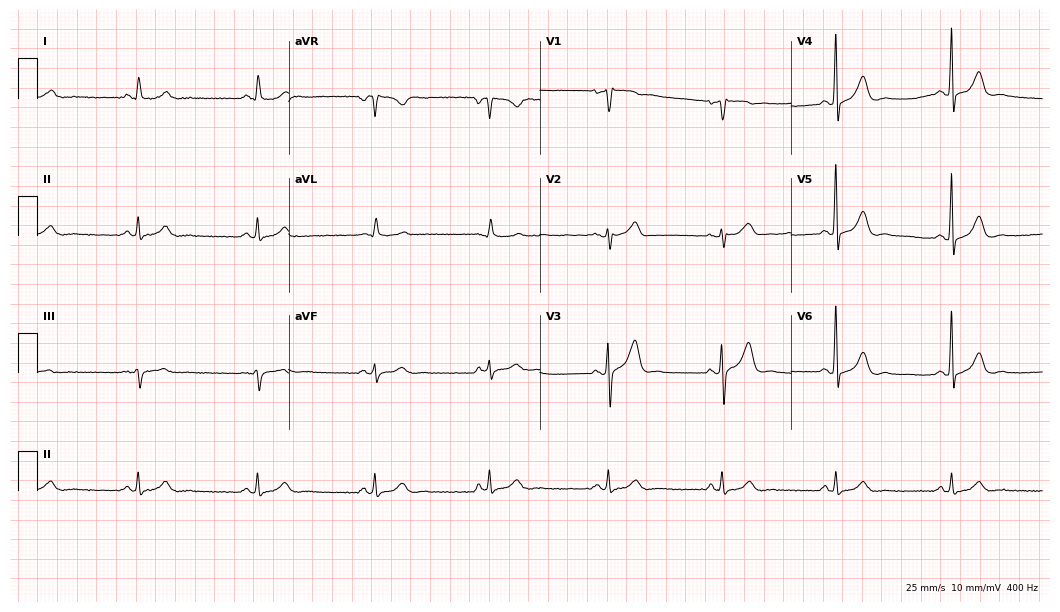
12-lead ECG from a 58-year-old man (10.2-second recording at 400 Hz). Shows sinus bradycardia (a sinus rate of 50 beats per minute or less).